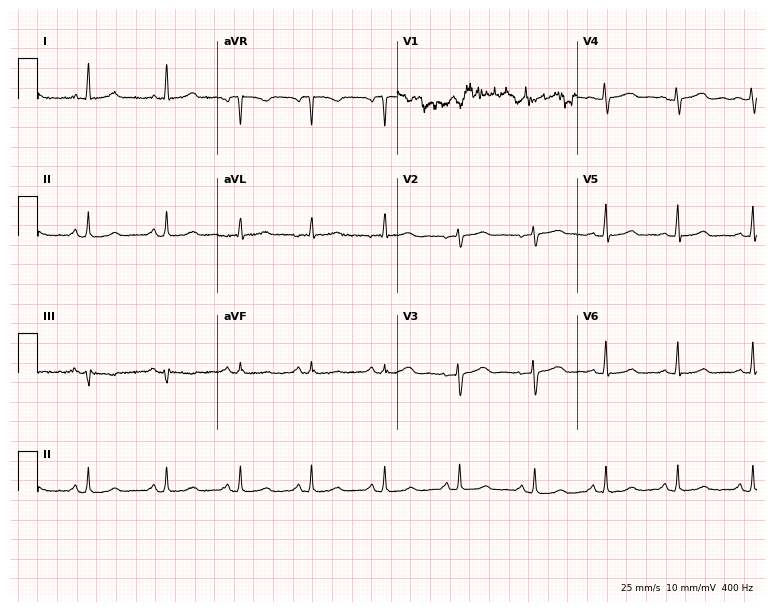
Electrocardiogram (7.3-second recording at 400 Hz), a woman, 52 years old. Of the six screened findings (first-degree AV block, right bundle branch block (RBBB), left bundle branch block (LBBB), sinus bradycardia, atrial fibrillation (AF), sinus tachycardia), none is recorded. Findings outside these six are not listed.